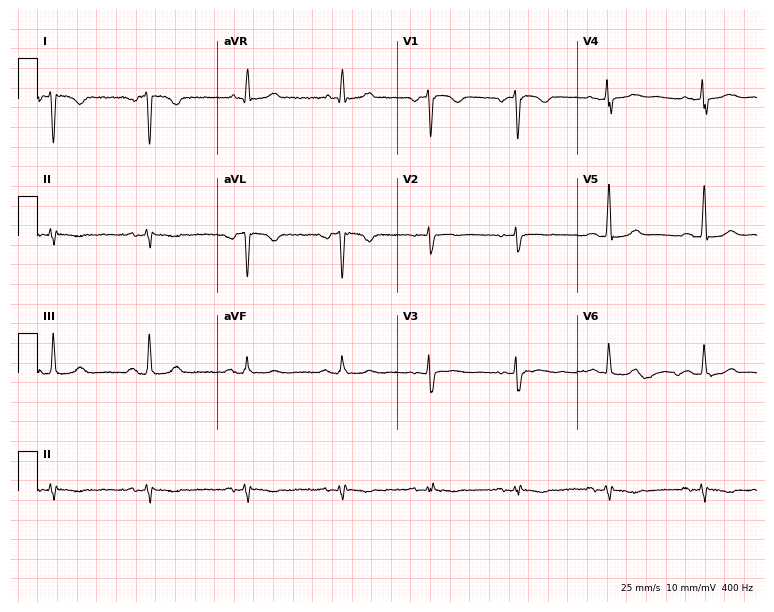
12-lead ECG from a female patient, 55 years old. No first-degree AV block, right bundle branch block, left bundle branch block, sinus bradycardia, atrial fibrillation or sinus tachycardia recorded for this tracing.